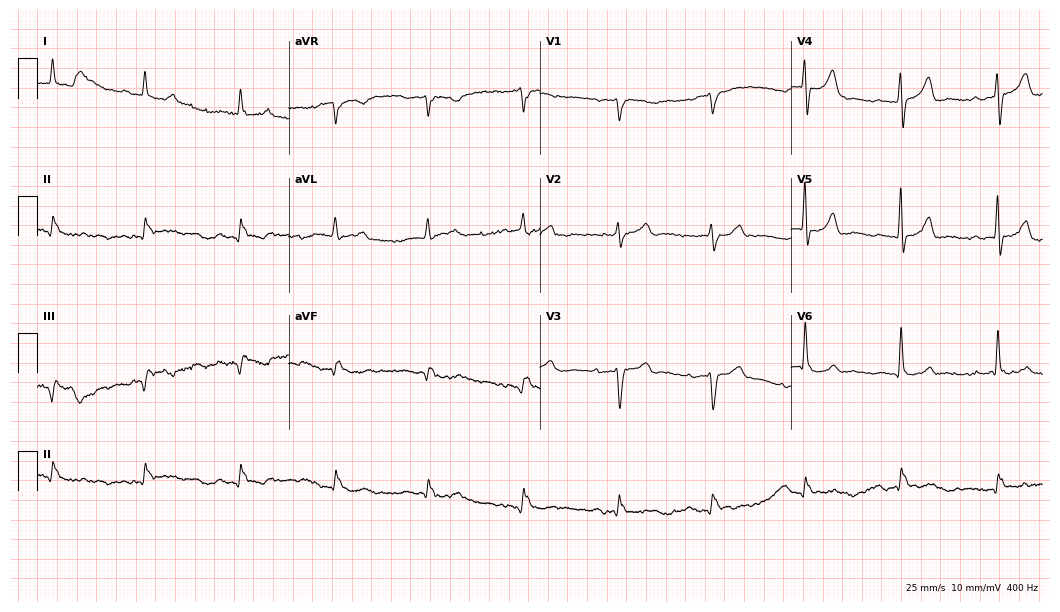
Electrocardiogram (10.2-second recording at 400 Hz), a male patient, 84 years old. Of the six screened findings (first-degree AV block, right bundle branch block (RBBB), left bundle branch block (LBBB), sinus bradycardia, atrial fibrillation (AF), sinus tachycardia), none is recorded.